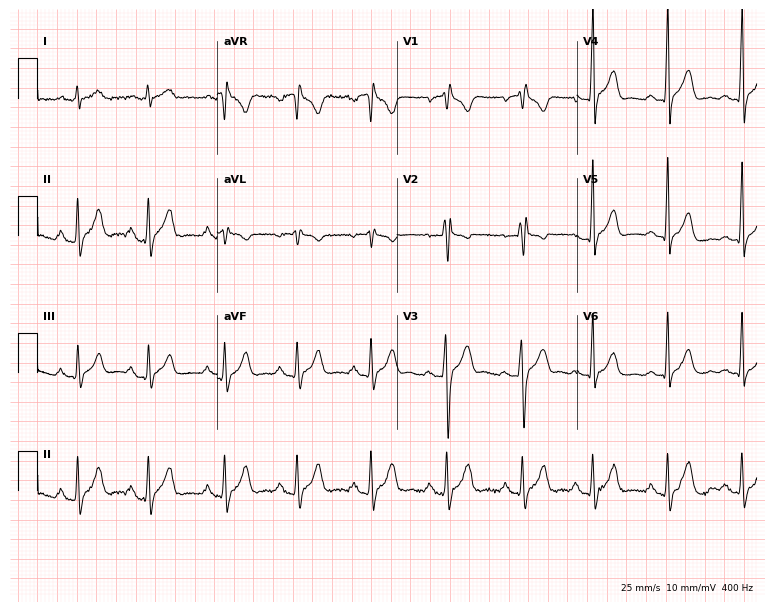
Resting 12-lead electrocardiogram. Patient: a man, 27 years old. None of these six findings is recorded: first-degree AV block, right bundle branch block (RBBB), left bundle branch block (LBBB), sinus bradycardia, atrial fibrillation (AF), sinus tachycardia.